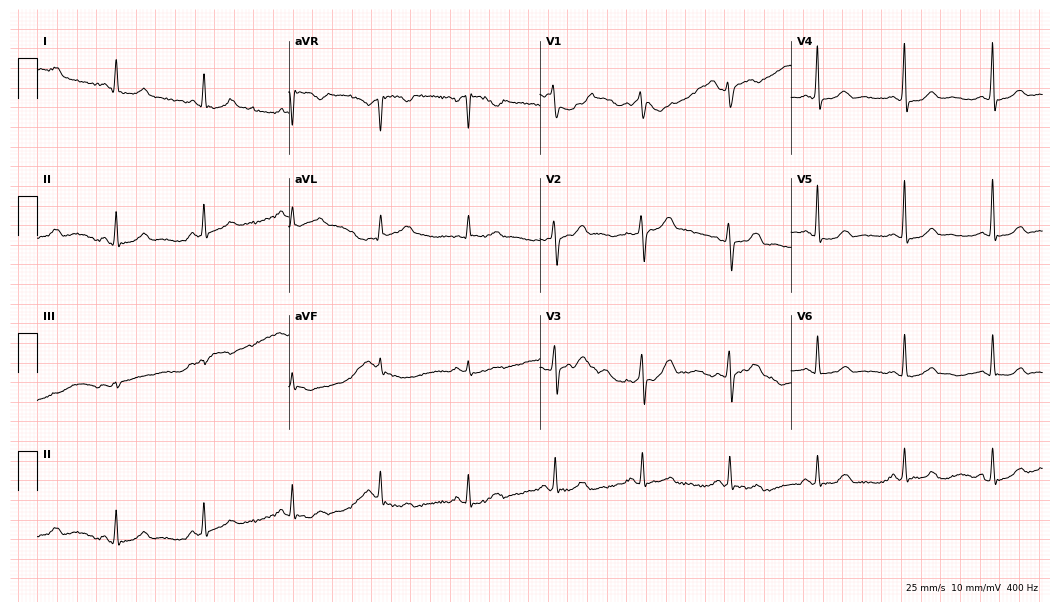
ECG (10.2-second recording at 400 Hz) — a female patient, 68 years old. Screened for six findings — first-degree AV block, right bundle branch block, left bundle branch block, sinus bradycardia, atrial fibrillation, sinus tachycardia — none is recorded. Other findings, if any, are not listed.